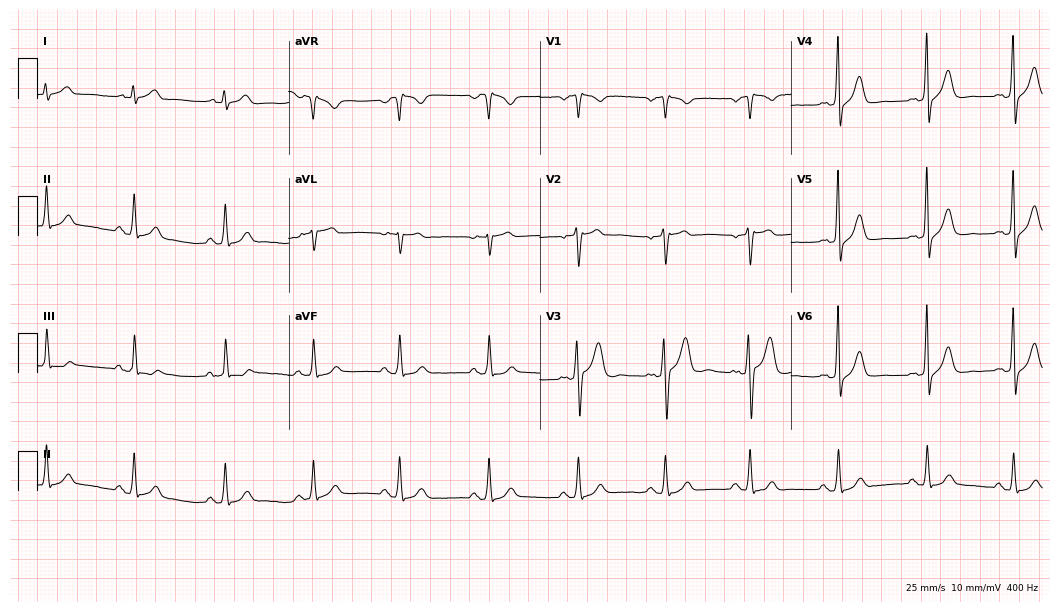
12-lead ECG (10.2-second recording at 400 Hz) from a male patient, 30 years old. Labelled as a normal ECG.